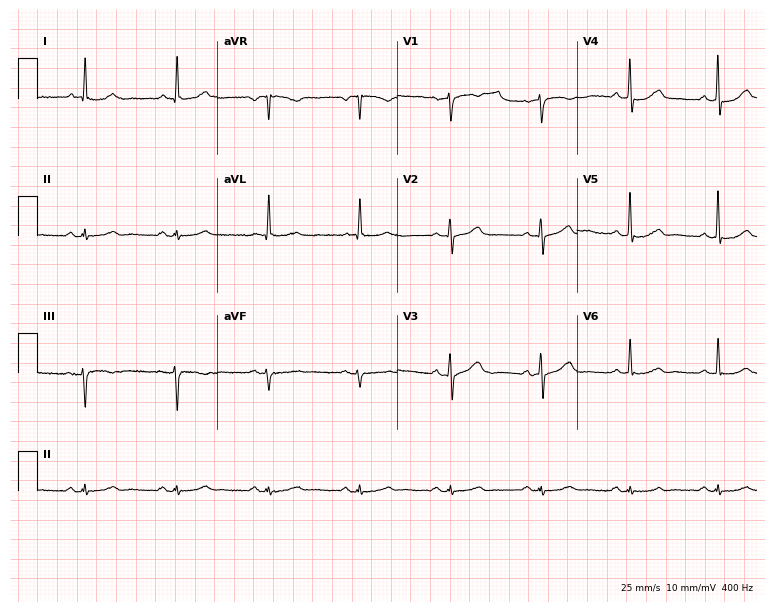
Standard 12-lead ECG recorded from an 82-year-old man. Read as a normal ECG.